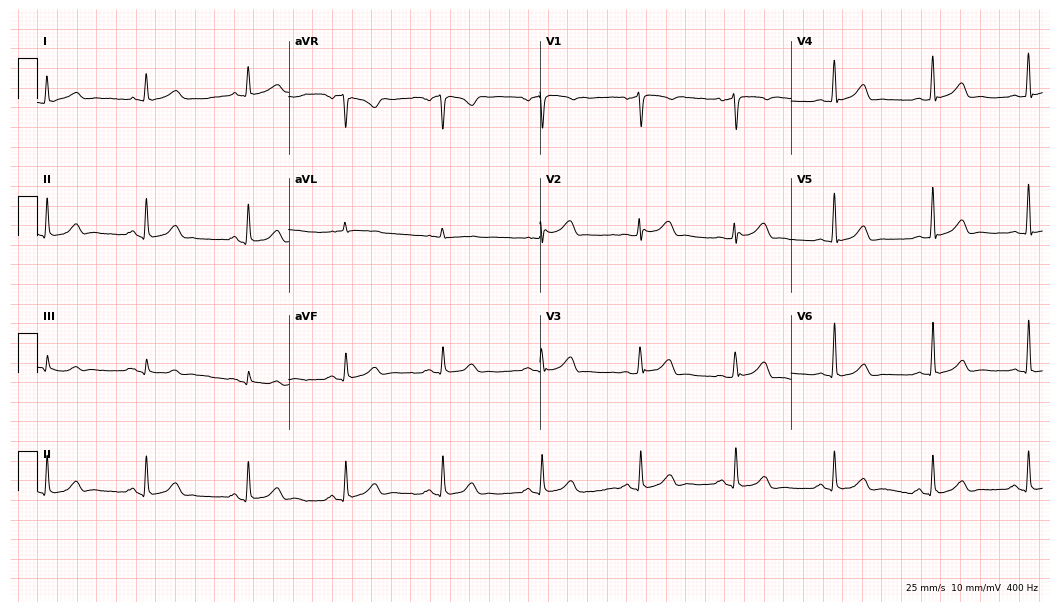
ECG (10.2-second recording at 400 Hz) — a 46-year-old man. Screened for six findings — first-degree AV block, right bundle branch block, left bundle branch block, sinus bradycardia, atrial fibrillation, sinus tachycardia — none is recorded.